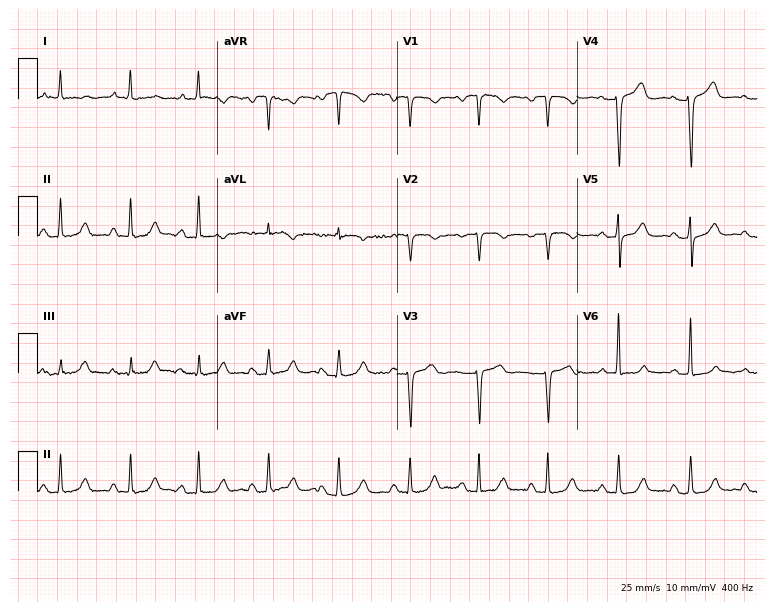
Standard 12-lead ECG recorded from a 59-year-old female patient (7.3-second recording at 400 Hz). None of these six findings is recorded: first-degree AV block, right bundle branch block, left bundle branch block, sinus bradycardia, atrial fibrillation, sinus tachycardia.